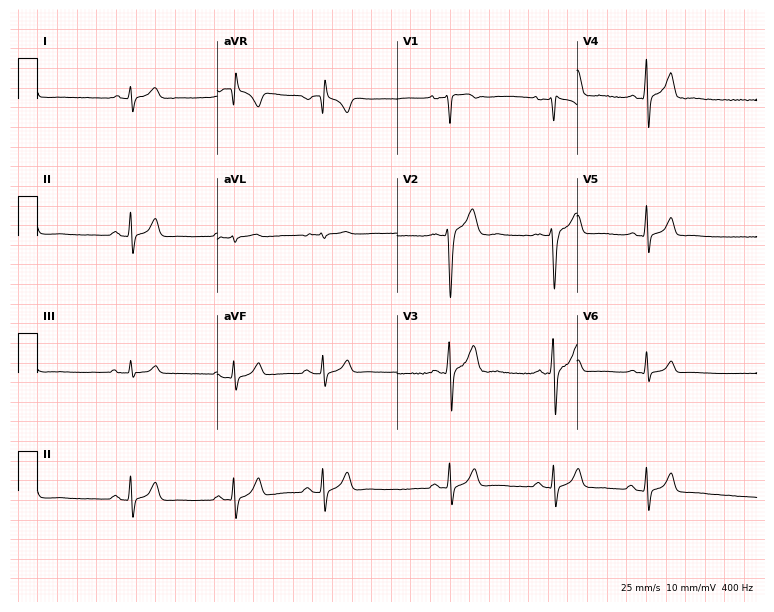
Electrocardiogram (7.3-second recording at 400 Hz), a 19-year-old male. Of the six screened findings (first-degree AV block, right bundle branch block (RBBB), left bundle branch block (LBBB), sinus bradycardia, atrial fibrillation (AF), sinus tachycardia), none is recorded.